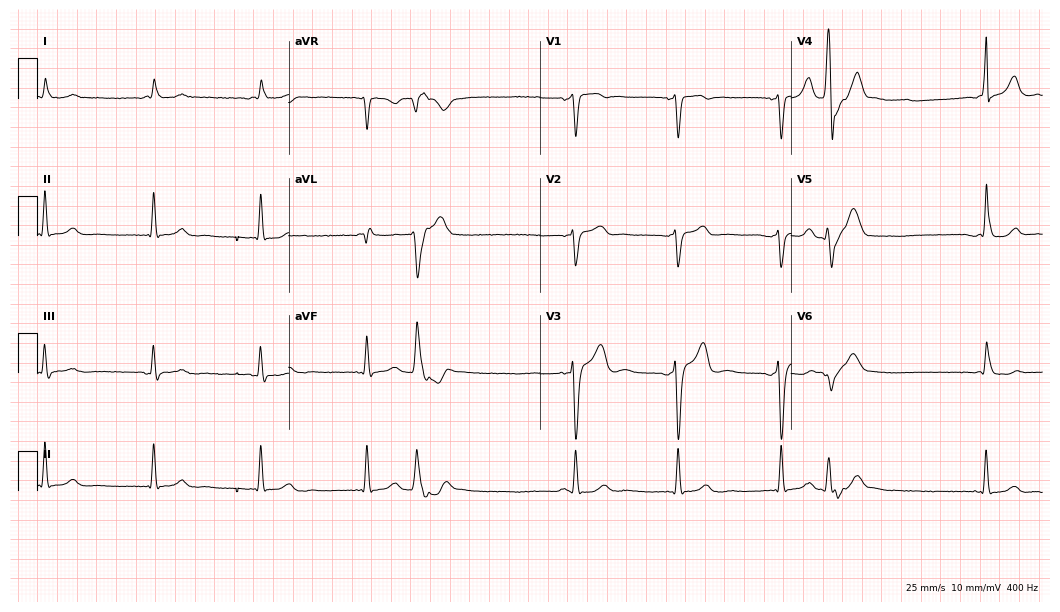
ECG (10.2-second recording at 400 Hz) — a male, 72 years old. Screened for six findings — first-degree AV block, right bundle branch block, left bundle branch block, sinus bradycardia, atrial fibrillation, sinus tachycardia — none is recorded. Only these six findings were labelled.